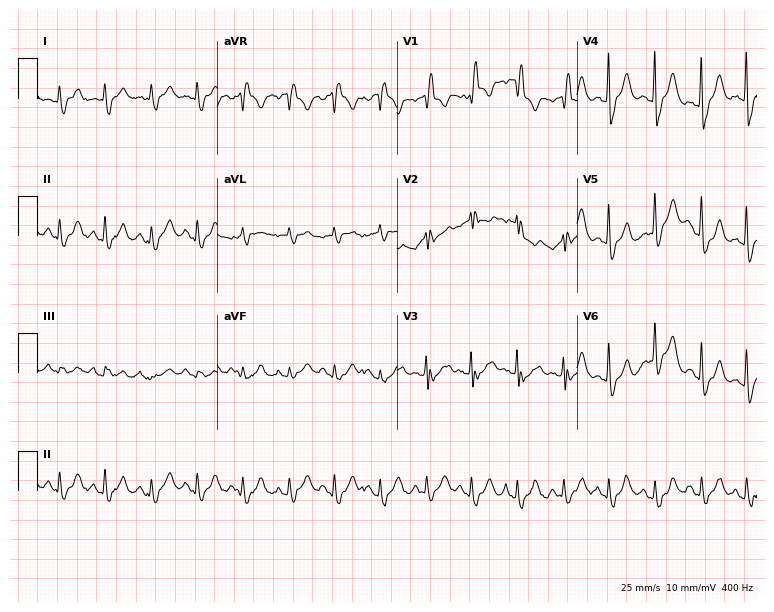
12-lead ECG from a female, 78 years old (7.3-second recording at 400 Hz). Shows sinus tachycardia (a sinus rate of 100 beats per minute or more).